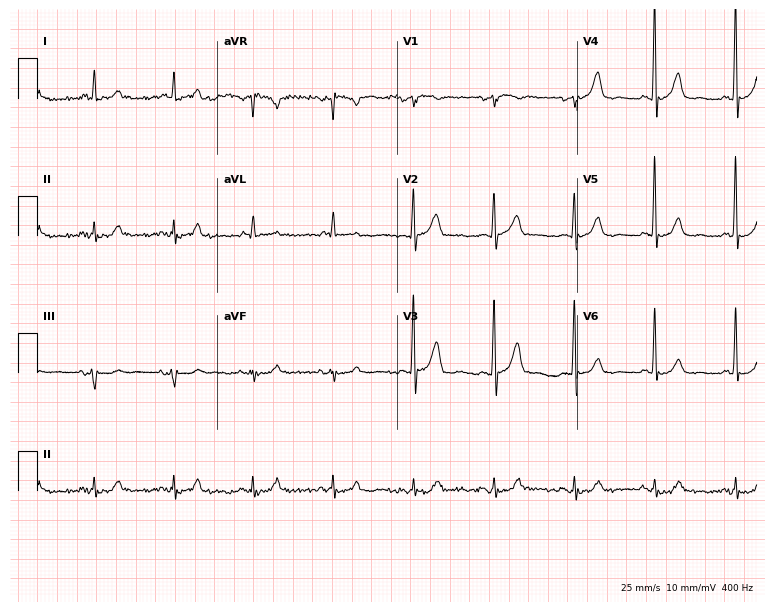
ECG (7.3-second recording at 400 Hz) — an 83-year-old man. Screened for six findings — first-degree AV block, right bundle branch block (RBBB), left bundle branch block (LBBB), sinus bradycardia, atrial fibrillation (AF), sinus tachycardia — none is recorded. Only these six findings were labelled.